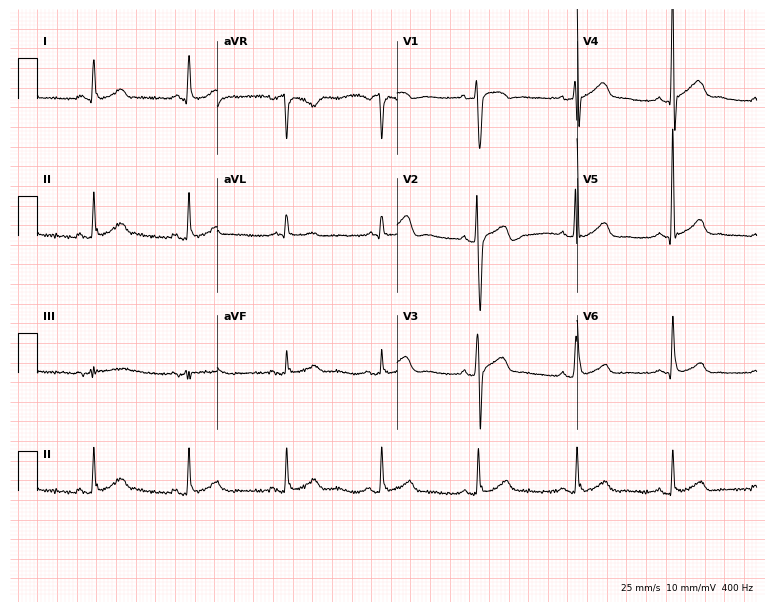
Standard 12-lead ECG recorded from a 60-year-old male (7.3-second recording at 400 Hz). None of these six findings is recorded: first-degree AV block, right bundle branch block (RBBB), left bundle branch block (LBBB), sinus bradycardia, atrial fibrillation (AF), sinus tachycardia. Only these six findings were labelled.